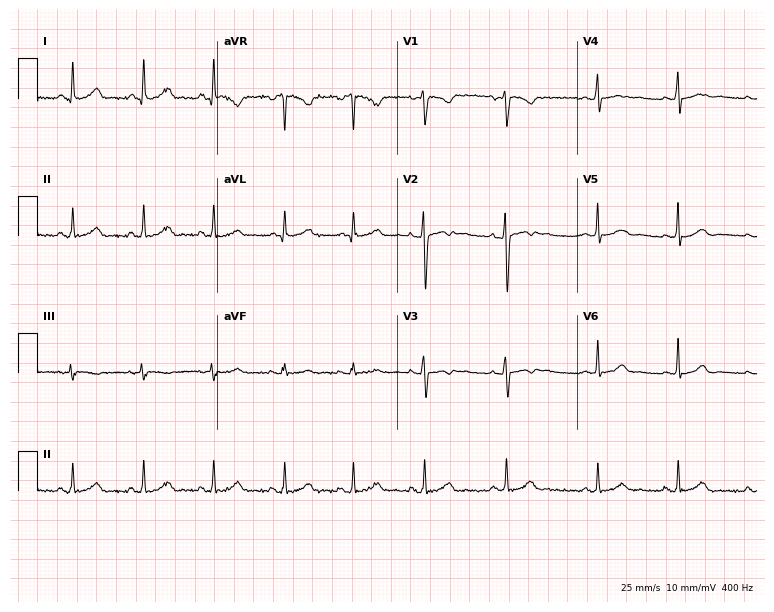
12-lead ECG from a 25-year-old woman. Recorded interpretation: within normal limits.